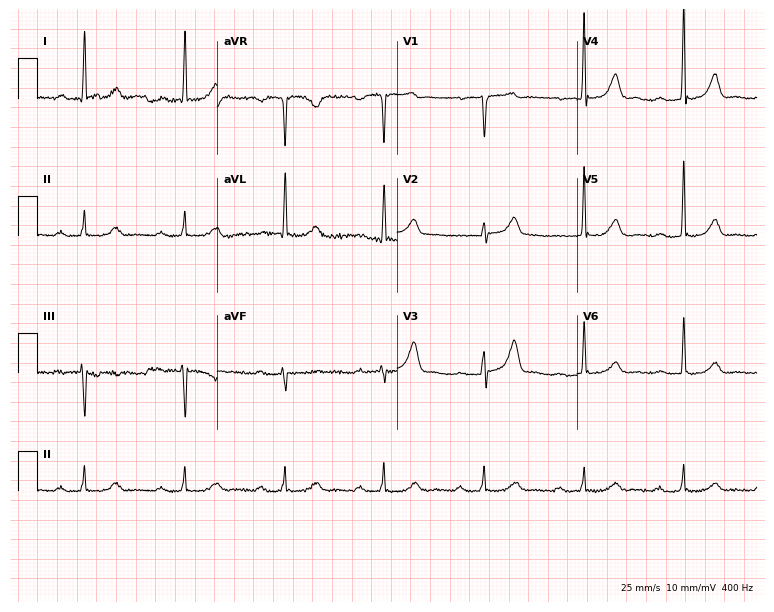
12-lead ECG (7.3-second recording at 400 Hz) from a female, 73 years old. Findings include first-degree AV block.